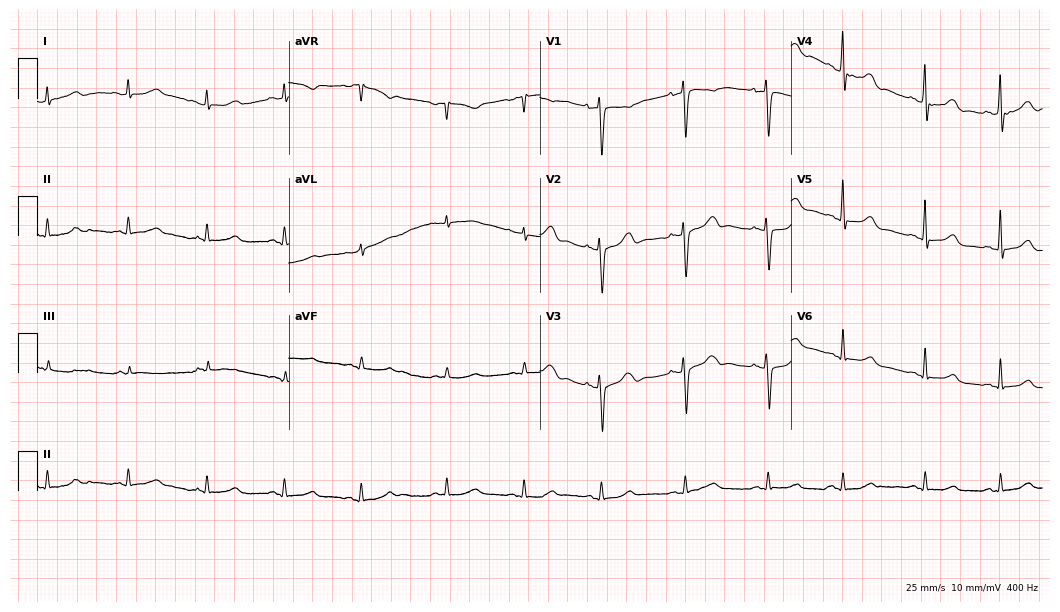
Standard 12-lead ECG recorded from a 59-year-old woman (10.2-second recording at 400 Hz). Read as a normal ECG.